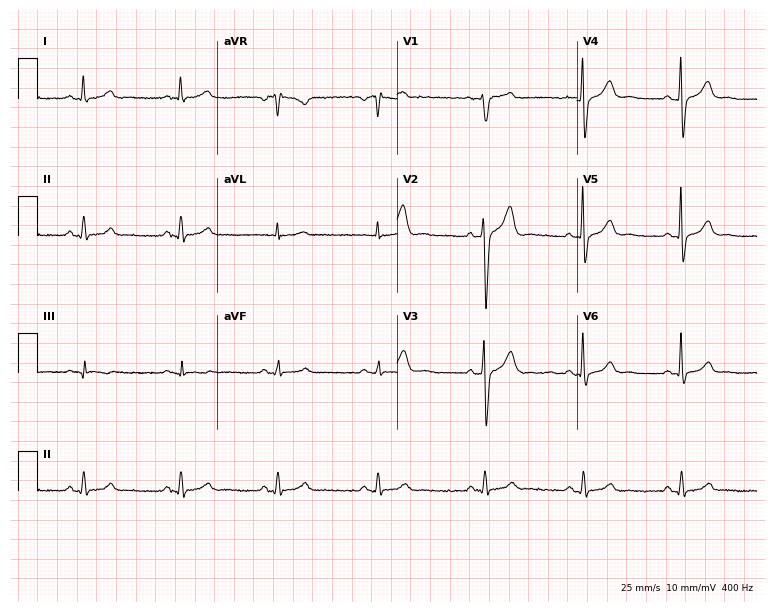
Standard 12-lead ECG recorded from a 54-year-old male patient. Read as a normal ECG.